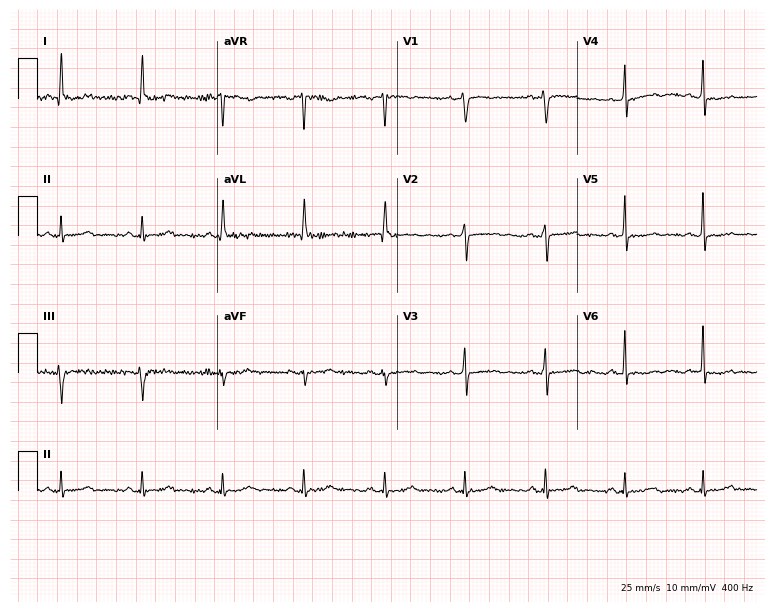
Resting 12-lead electrocardiogram. Patient: a 60-year-old female. None of these six findings is recorded: first-degree AV block, right bundle branch block, left bundle branch block, sinus bradycardia, atrial fibrillation, sinus tachycardia. Findings outside these six are not listed.